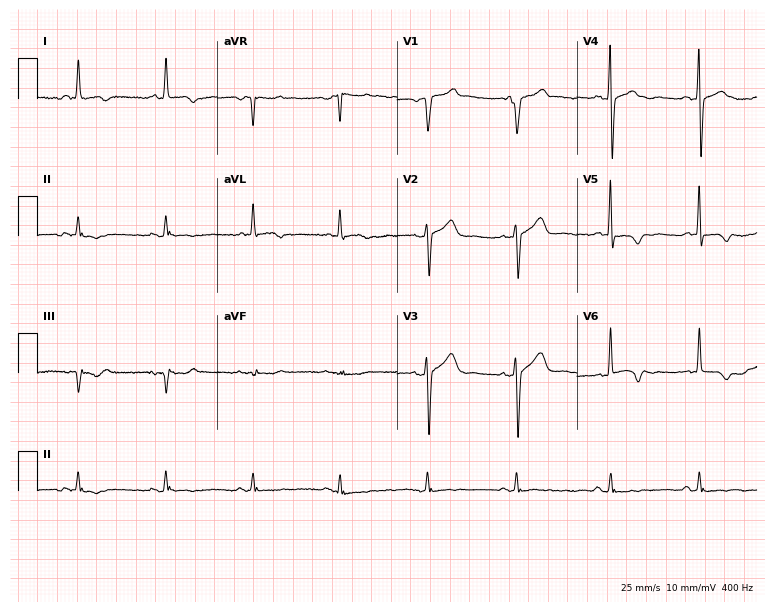
Resting 12-lead electrocardiogram. Patient: a 69-year-old male. None of these six findings is recorded: first-degree AV block, right bundle branch block, left bundle branch block, sinus bradycardia, atrial fibrillation, sinus tachycardia. Other findings, if any, are not listed.